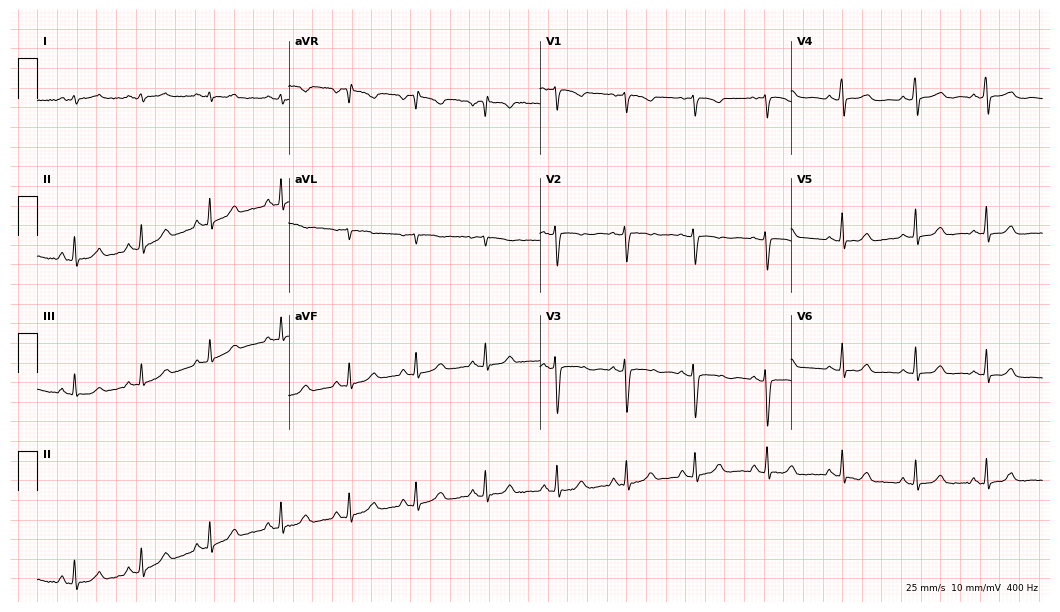
Electrocardiogram (10.2-second recording at 400 Hz), a female, 37 years old. Of the six screened findings (first-degree AV block, right bundle branch block (RBBB), left bundle branch block (LBBB), sinus bradycardia, atrial fibrillation (AF), sinus tachycardia), none is recorded. Other findings, if any, are not listed.